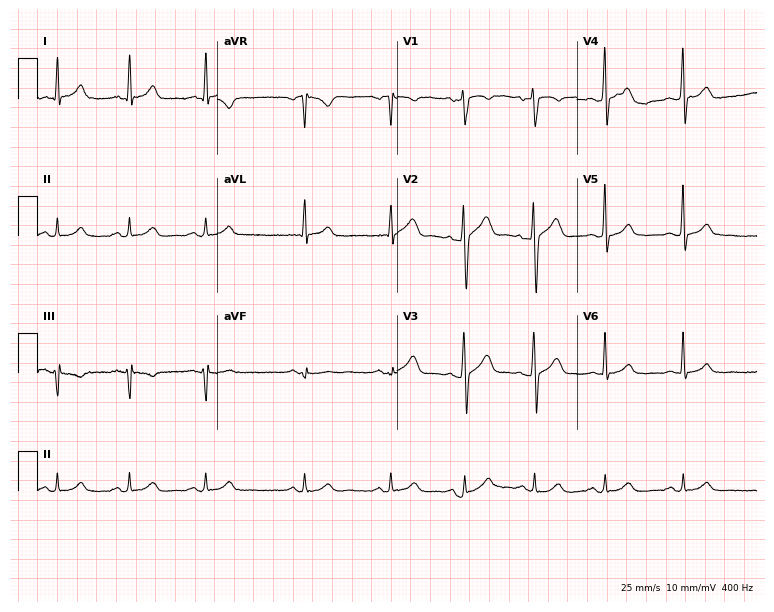
Electrocardiogram (7.3-second recording at 400 Hz), a 48-year-old male patient. Overall reading on record: normal ECG.